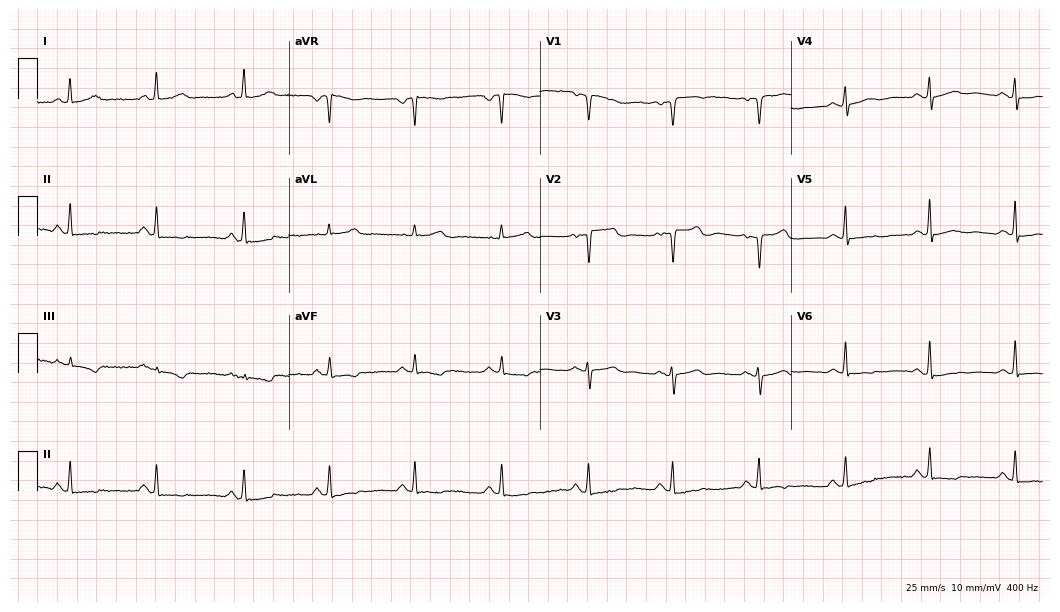
Standard 12-lead ECG recorded from a 65-year-old female (10.2-second recording at 400 Hz). None of these six findings is recorded: first-degree AV block, right bundle branch block, left bundle branch block, sinus bradycardia, atrial fibrillation, sinus tachycardia.